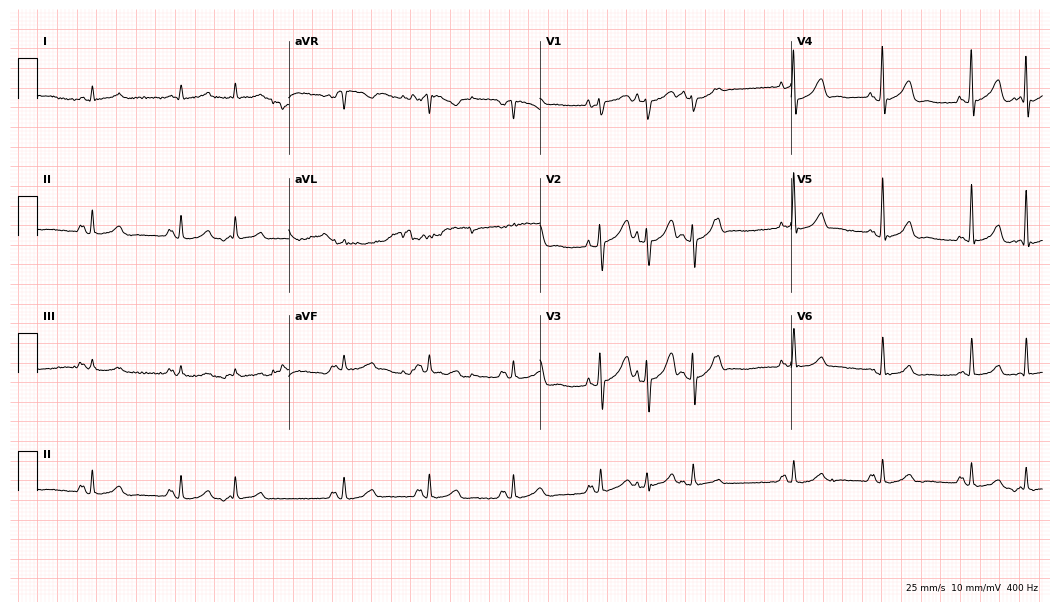
Electrocardiogram (10.2-second recording at 400 Hz), a man, 81 years old. Of the six screened findings (first-degree AV block, right bundle branch block, left bundle branch block, sinus bradycardia, atrial fibrillation, sinus tachycardia), none is recorded.